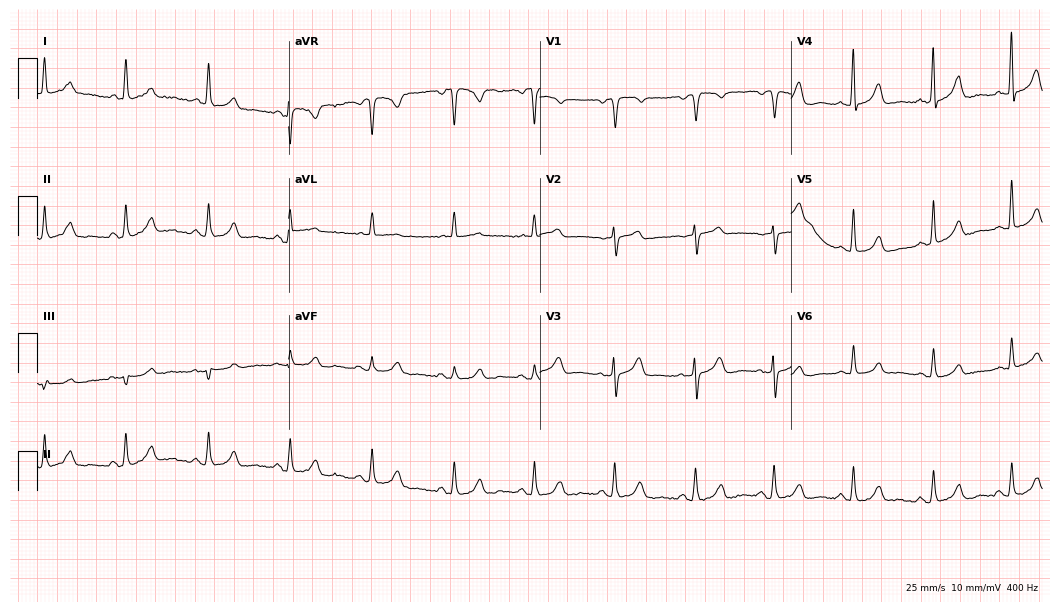
12-lead ECG from a female patient, 64 years old (10.2-second recording at 400 Hz). Recorded interpretation: within normal limits.